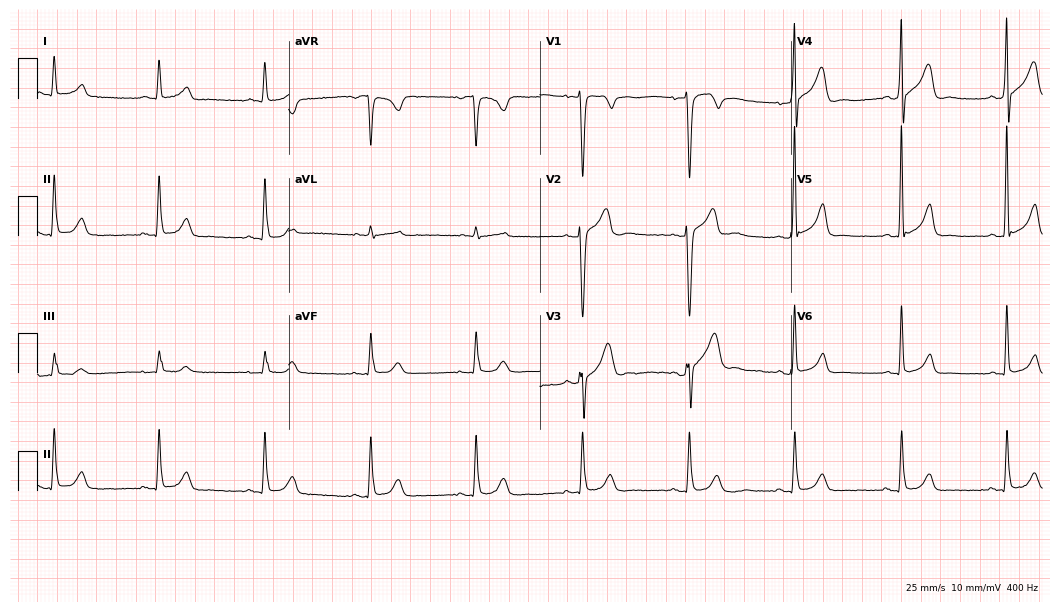
ECG — a male patient, 44 years old. Labelled as a normal ECG.